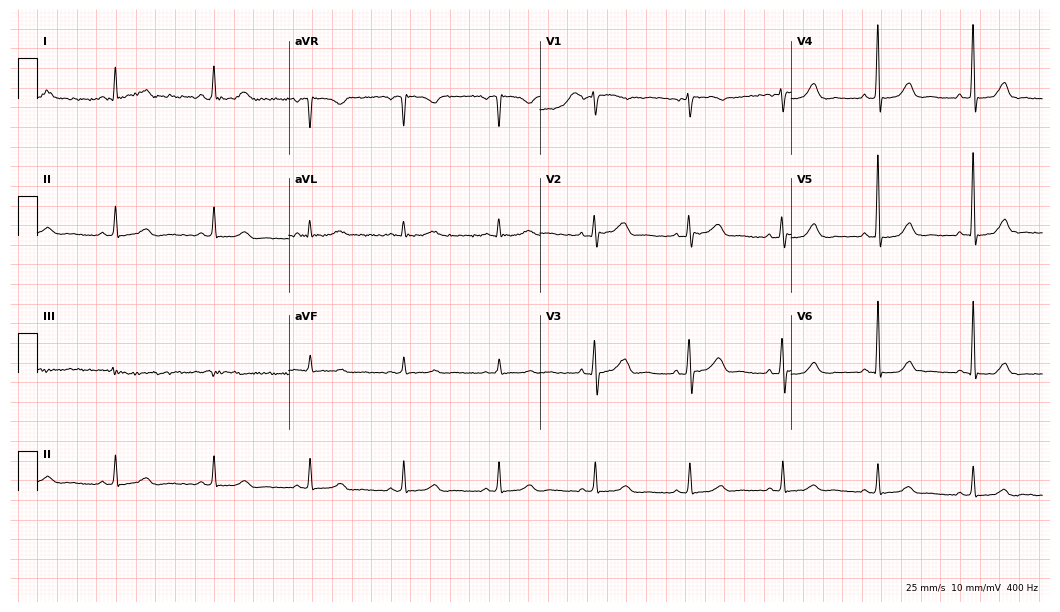
ECG — a 55-year-old woman. Labelled as a normal ECG.